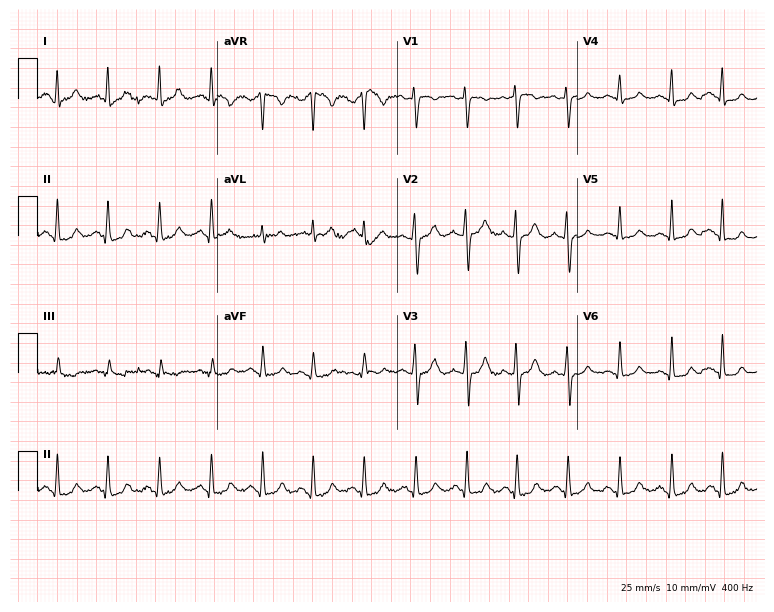
Resting 12-lead electrocardiogram. Patient: a 30-year-old female. None of these six findings is recorded: first-degree AV block, right bundle branch block, left bundle branch block, sinus bradycardia, atrial fibrillation, sinus tachycardia. Only these six findings were labelled.